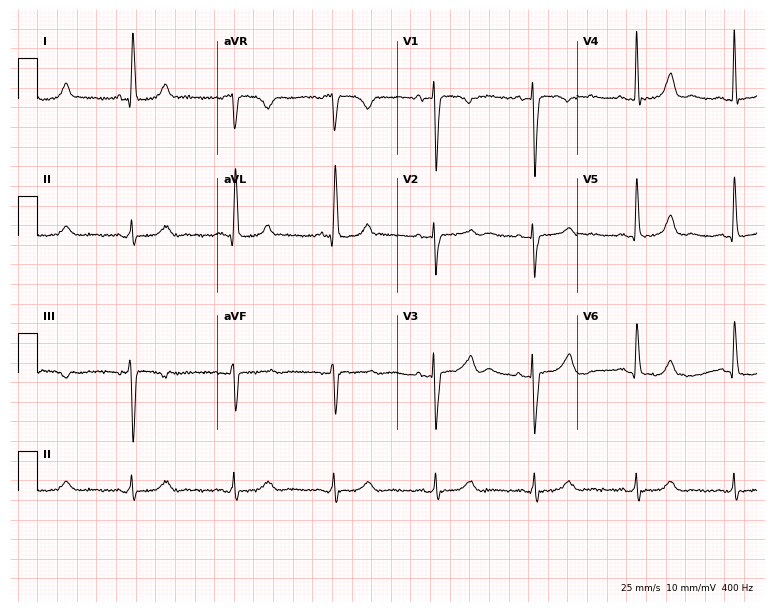
Resting 12-lead electrocardiogram (7.3-second recording at 400 Hz). Patient: a woman, 63 years old. None of these six findings is recorded: first-degree AV block, right bundle branch block, left bundle branch block, sinus bradycardia, atrial fibrillation, sinus tachycardia. Other findings, if any, are not listed.